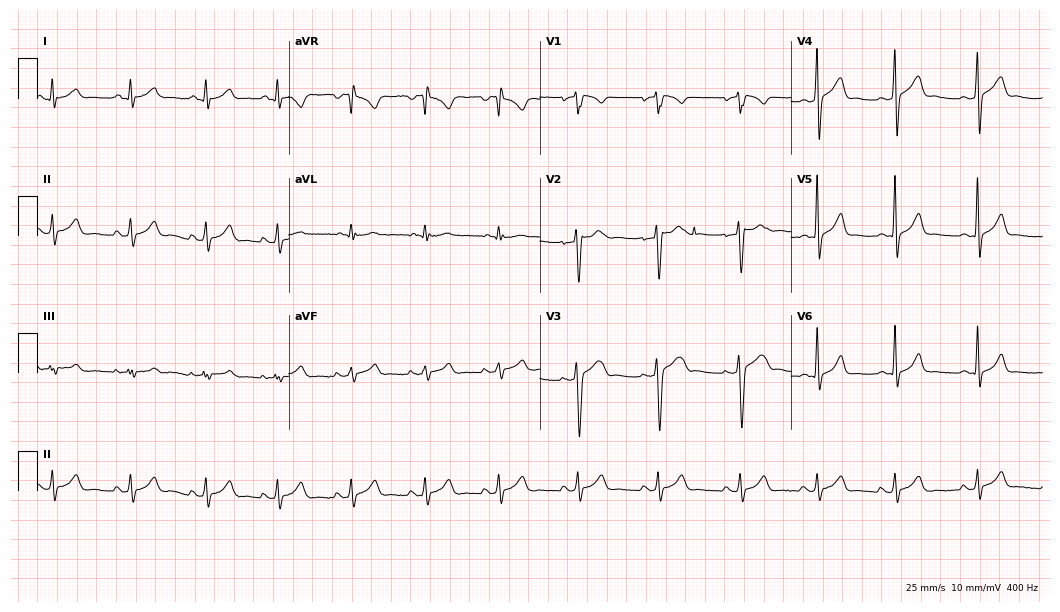
Standard 12-lead ECG recorded from a male patient, 20 years old (10.2-second recording at 400 Hz). None of these six findings is recorded: first-degree AV block, right bundle branch block (RBBB), left bundle branch block (LBBB), sinus bradycardia, atrial fibrillation (AF), sinus tachycardia.